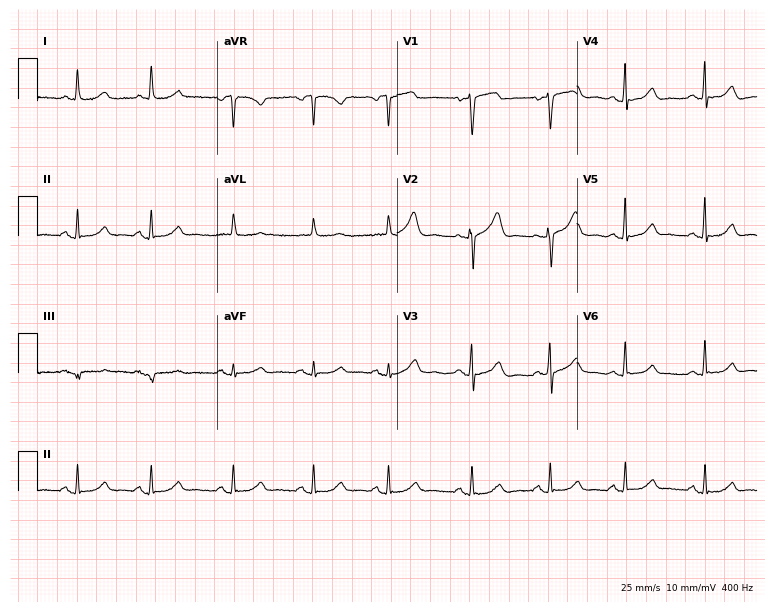
Standard 12-lead ECG recorded from a 70-year-old woman (7.3-second recording at 400 Hz). Read as a normal ECG.